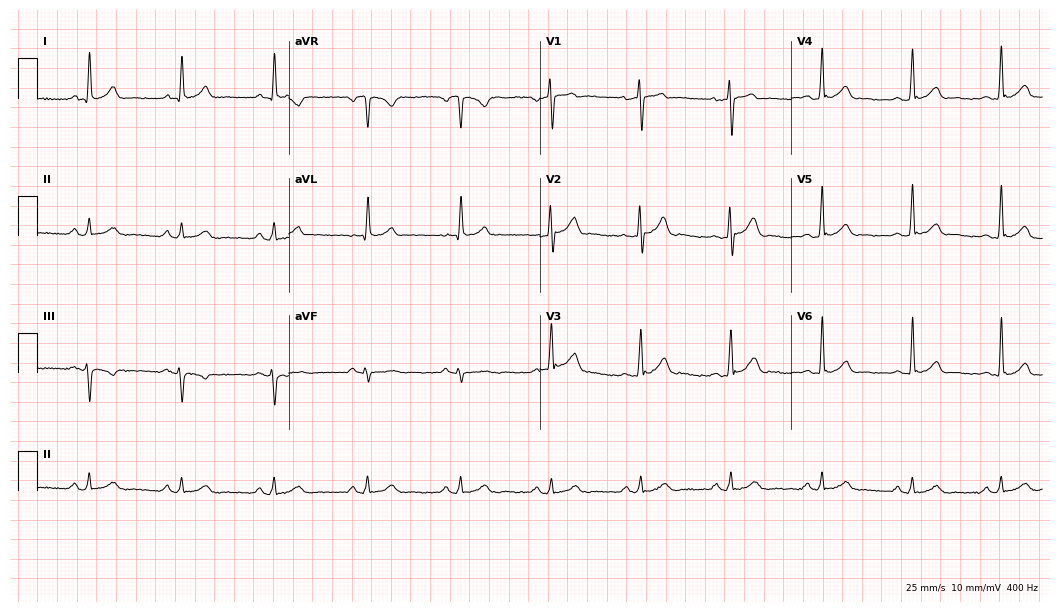
Electrocardiogram, a 57-year-old male patient. Of the six screened findings (first-degree AV block, right bundle branch block (RBBB), left bundle branch block (LBBB), sinus bradycardia, atrial fibrillation (AF), sinus tachycardia), none is recorded. Findings outside these six are not listed.